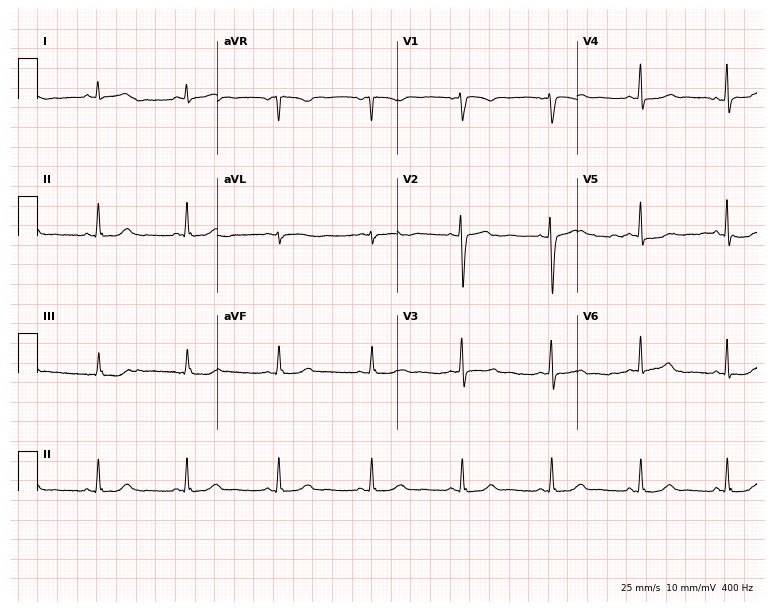
Resting 12-lead electrocardiogram. Patient: a 35-year-old female. None of these six findings is recorded: first-degree AV block, right bundle branch block, left bundle branch block, sinus bradycardia, atrial fibrillation, sinus tachycardia. Only these six findings were labelled.